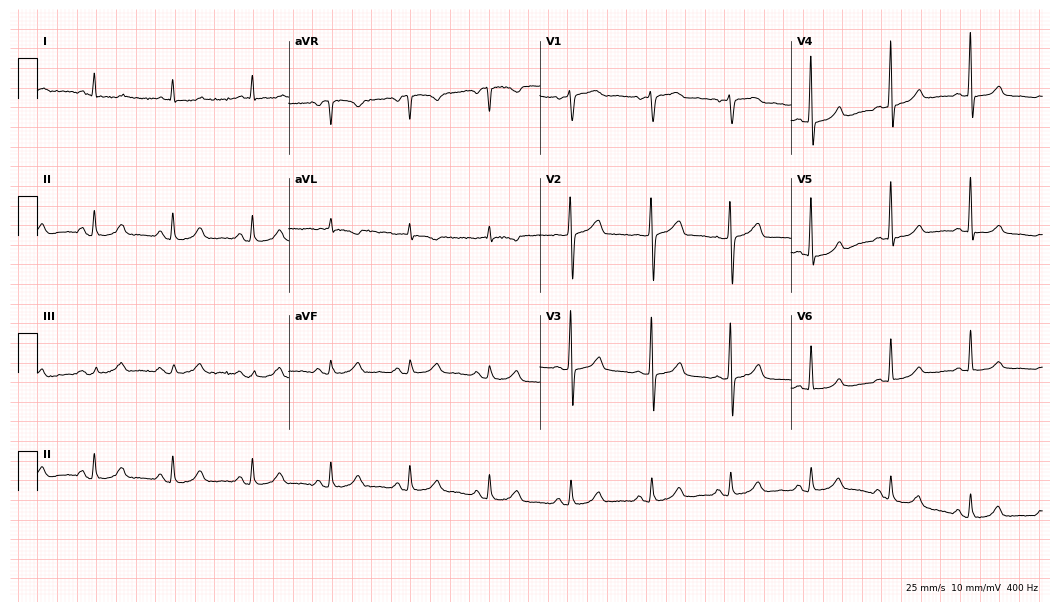
Electrocardiogram (10.2-second recording at 400 Hz), a woman, 66 years old. Overall reading on record: normal ECG.